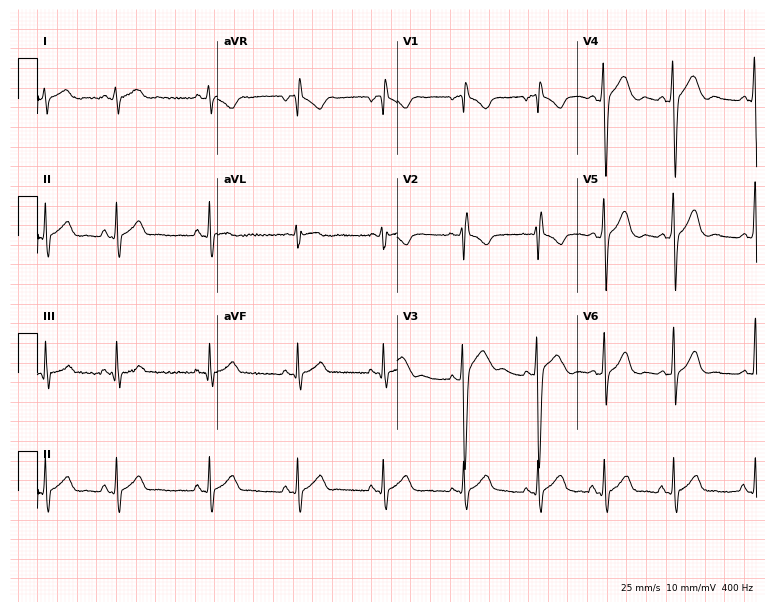
Standard 12-lead ECG recorded from a male patient, 21 years old (7.3-second recording at 400 Hz). None of these six findings is recorded: first-degree AV block, right bundle branch block, left bundle branch block, sinus bradycardia, atrial fibrillation, sinus tachycardia. Findings outside these six are not listed.